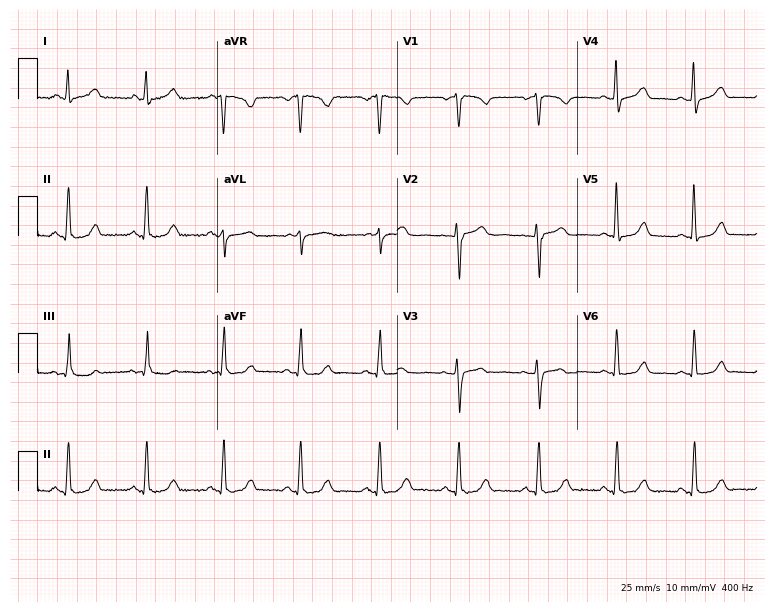
ECG (7.3-second recording at 400 Hz) — a female patient, 59 years old. Labelled as a normal ECG.